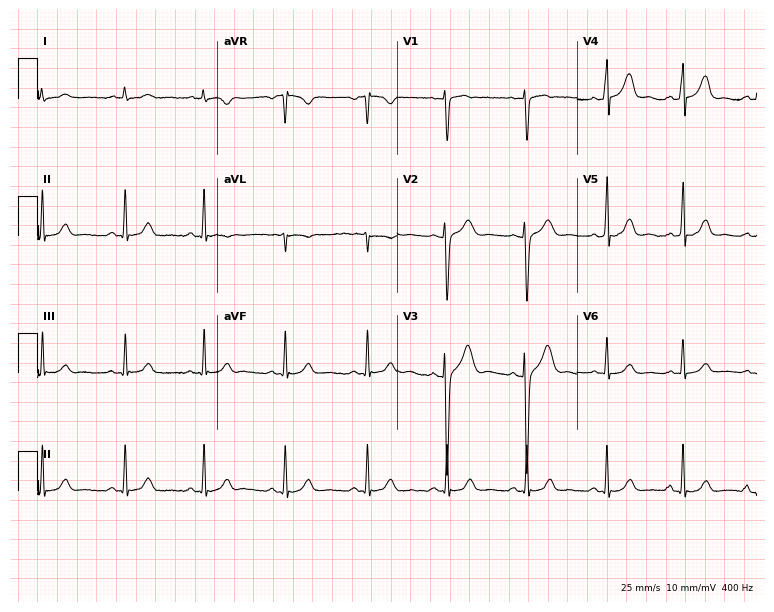
12-lead ECG (7.3-second recording at 400 Hz) from a female, 19 years old. Labelled as a normal ECG.